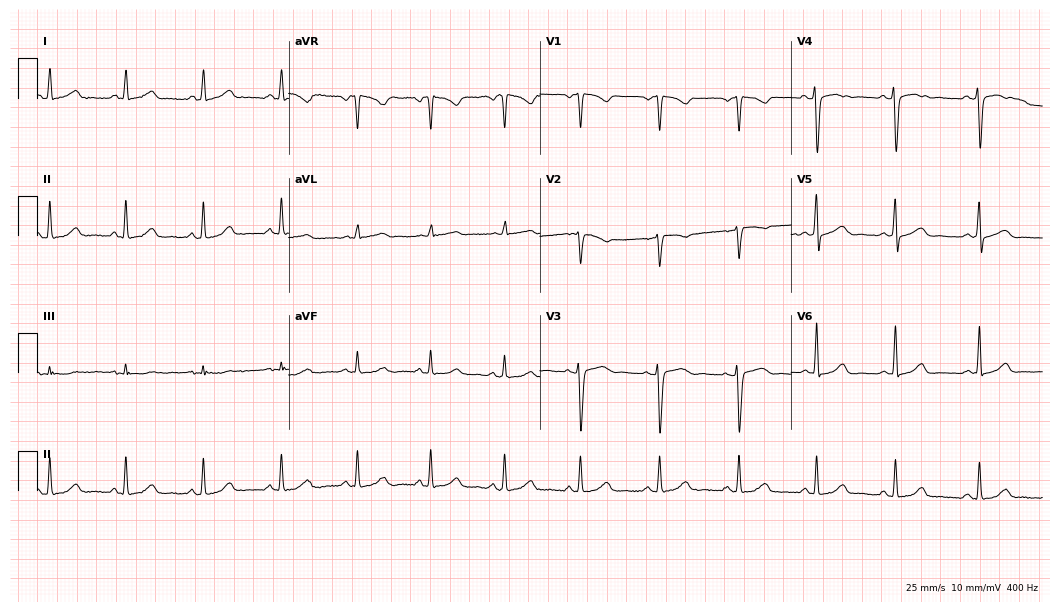
Standard 12-lead ECG recorded from a female, 41 years old. None of these six findings is recorded: first-degree AV block, right bundle branch block, left bundle branch block, sinus bradycardia, atrial fibrillation, sinus tachycardia.